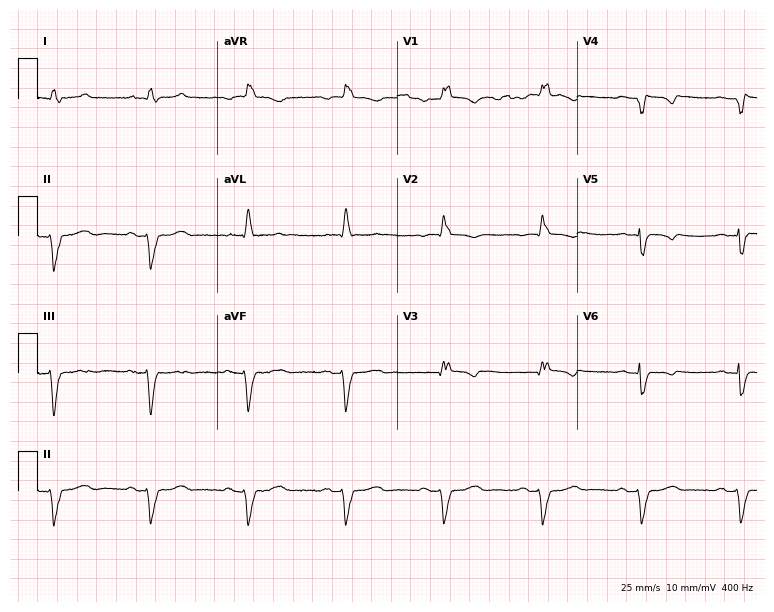
12-lead ECG (7.3-second recording at 400 Hz) from a 78-year-old male. Findings include right bundle branch block (RBBB).